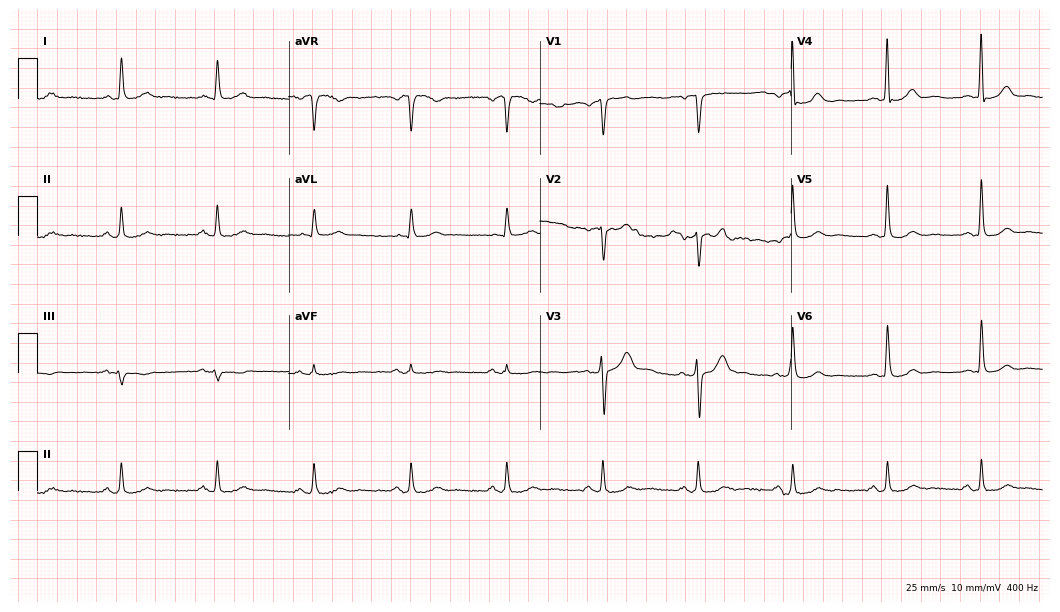
Standard 12-lead ECG recorded from a male, 73 years old (10.2-second recording at 400 Hz). None of these six findings is recorded: first-degree AV block, right bundle branch block, left bundle branch block, sinus bradycardia, atrial fibrillation, sinus tachycardia.